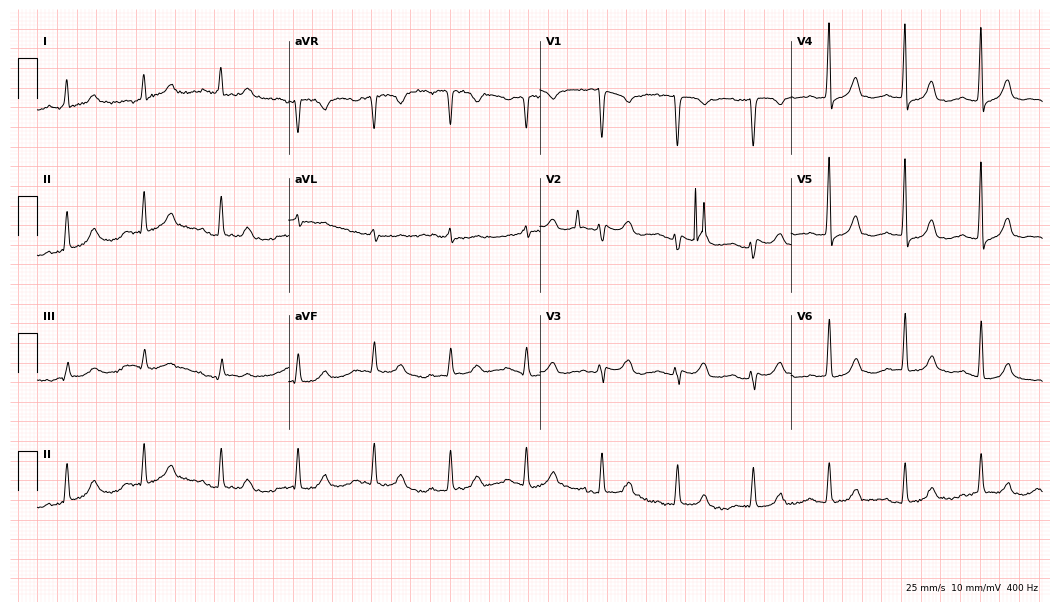
ECG — an 85-year-old woman. Findings include first-degree AV block, atrial fibrillation.